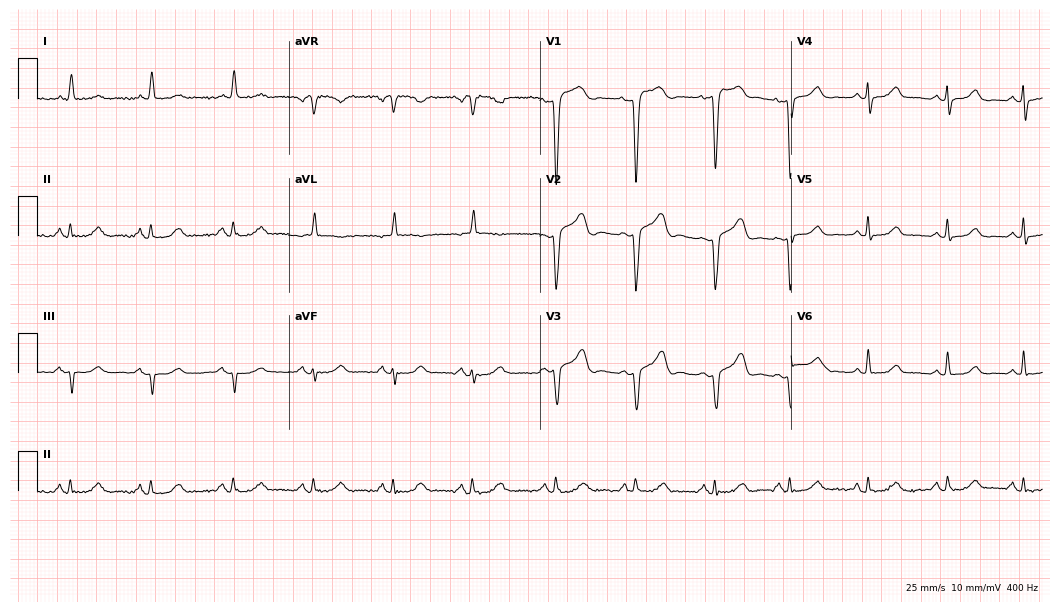
12-lead ECG (10.2-second recording at 400 Hz) from an 85-year-old female. Screened for six findings — first-degree AV block, right bundle branch block, left bundle branch block, sinus bradycardia, atrial fibrillation, sinus tachycardia — none is recorded.